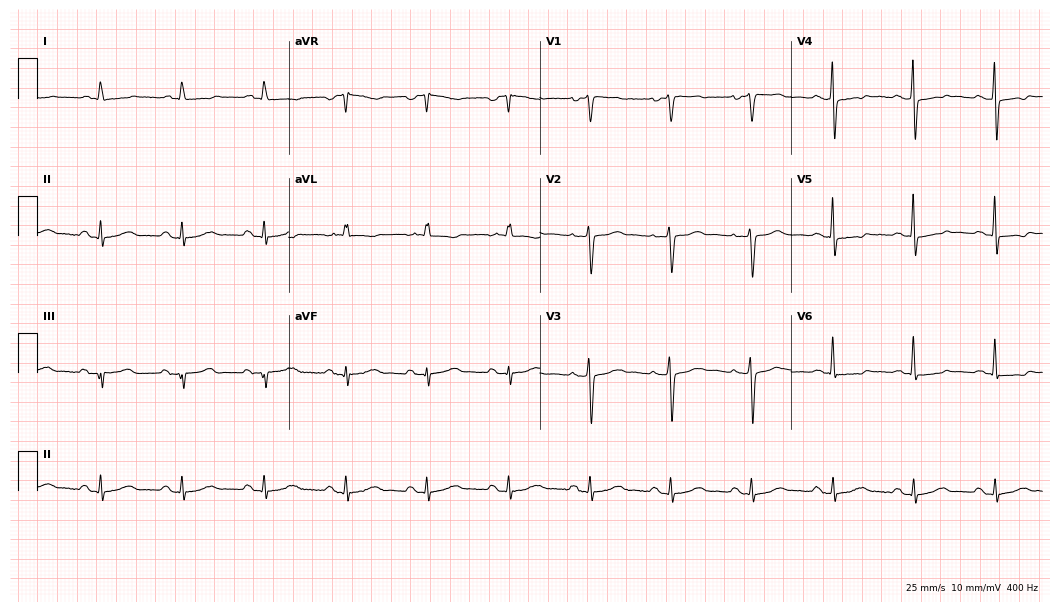
Electrocardiogram, a 78-year-old female. Of the six screened findings (first-degree AV block, right bundle branch block, left bundle branch block, sinus bradycardia, atrial fibrillation, sinus tachycardia), none is recorded. Findings outside these six are not listed.